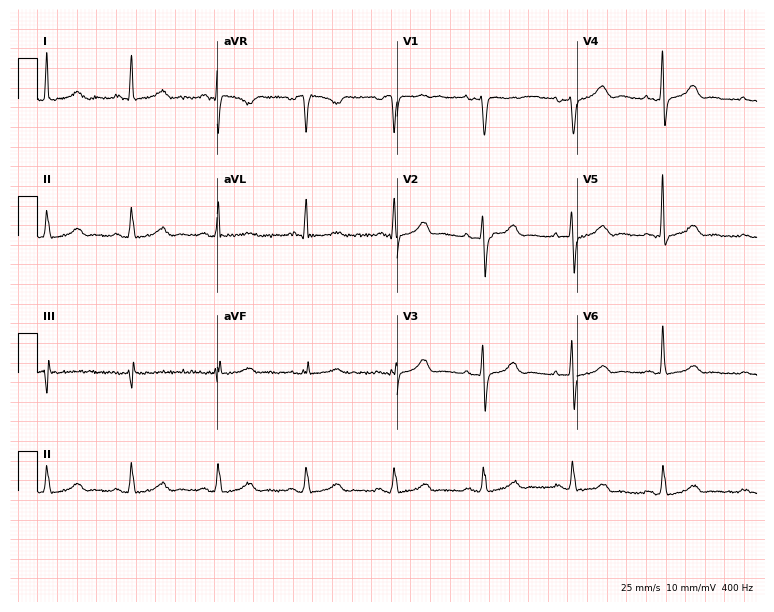
12-lead ECG from a 64-year-old female patient. Labelled as a normal ECG.